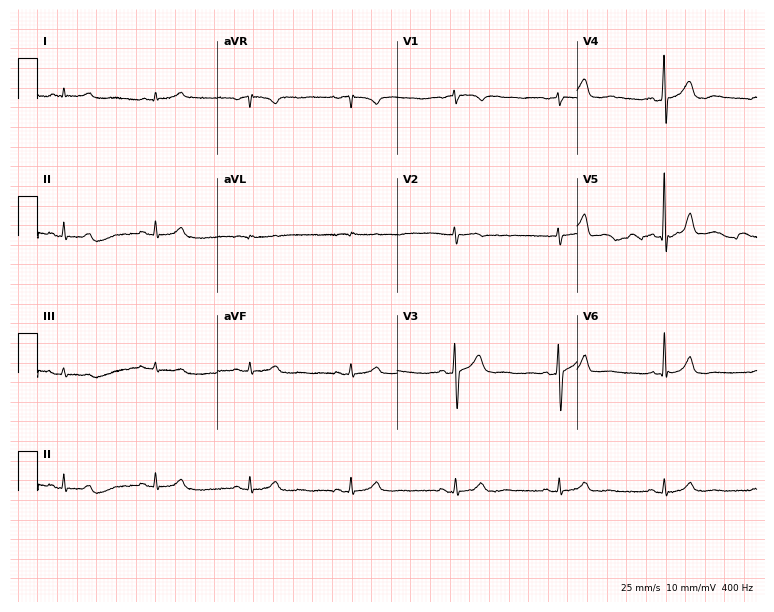
Electrocardiogram (7.3-second recording at 400 Hz), a 67-year-old male patient. Overall reading on record: normal ECG.